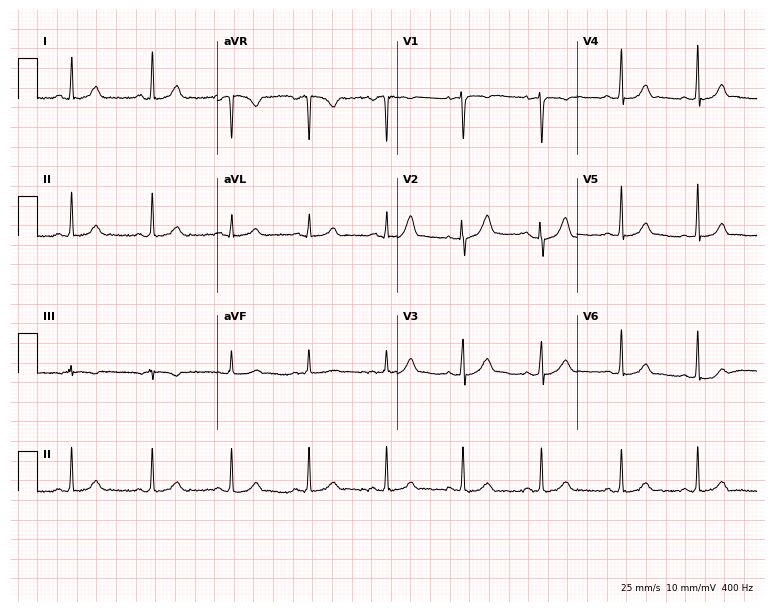
12-lead ECG from a 33-year-old female. Recorded interpretation: within normal limits.